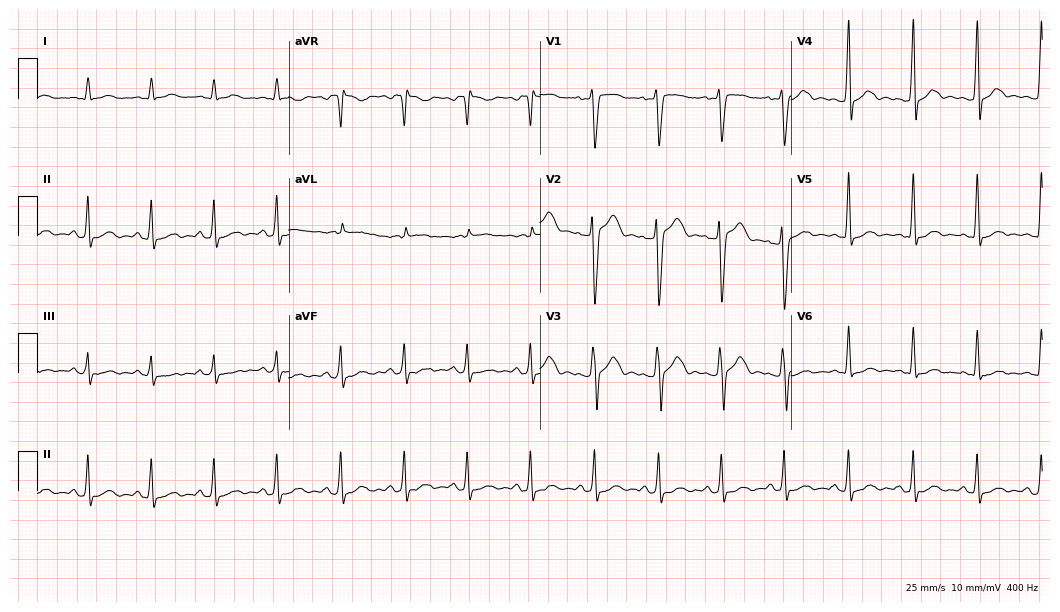
ECG — a 28-year-old man. Screened for six findings — first-degree AV block, right bundle branch block, left bundle branch block, sinus bradycardia, atrial fibrillation, sinus tachycardia — none is recorded.